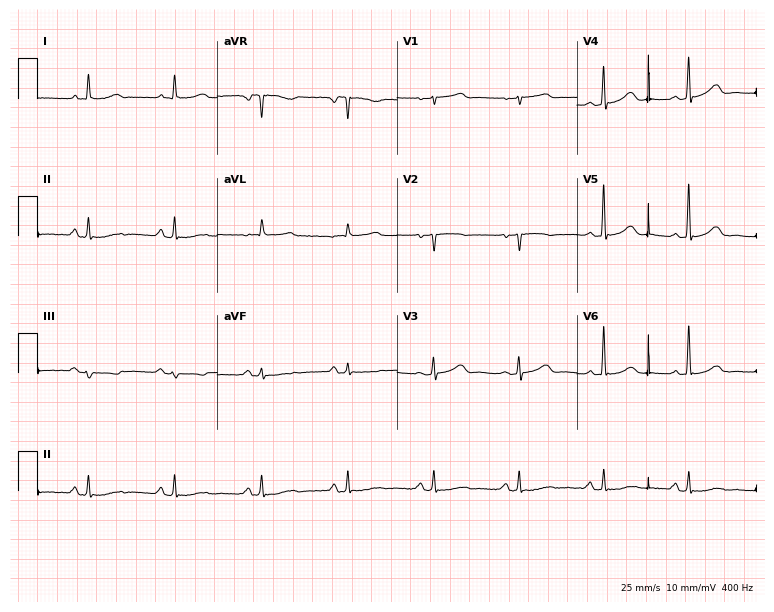
12-lead ECG from a female patient, 81 years old (7.3-second recording at 400 Hz). No first-degree AV block, right bundle branch block, left bundle branch block, sinus bradycardia, atrial fibrillation or sinus tachycardia recorded for this tracing. Only these six findings were labelled.